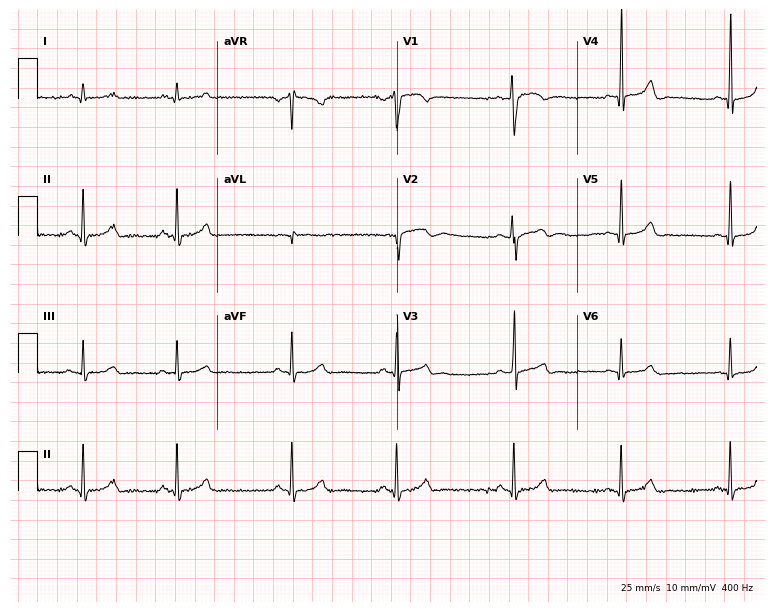
Resting 12-lead electrocardiogram (7.3-second recording at 400 Hz). Patient: a 24-year-old female. None of these six findings is recorded: first-degree AV block, right bundle branch block (RBBB), left bundle branch block (LBBB), sinus bradycardia, atrial fibrillation (AF), sinus tachycardia.